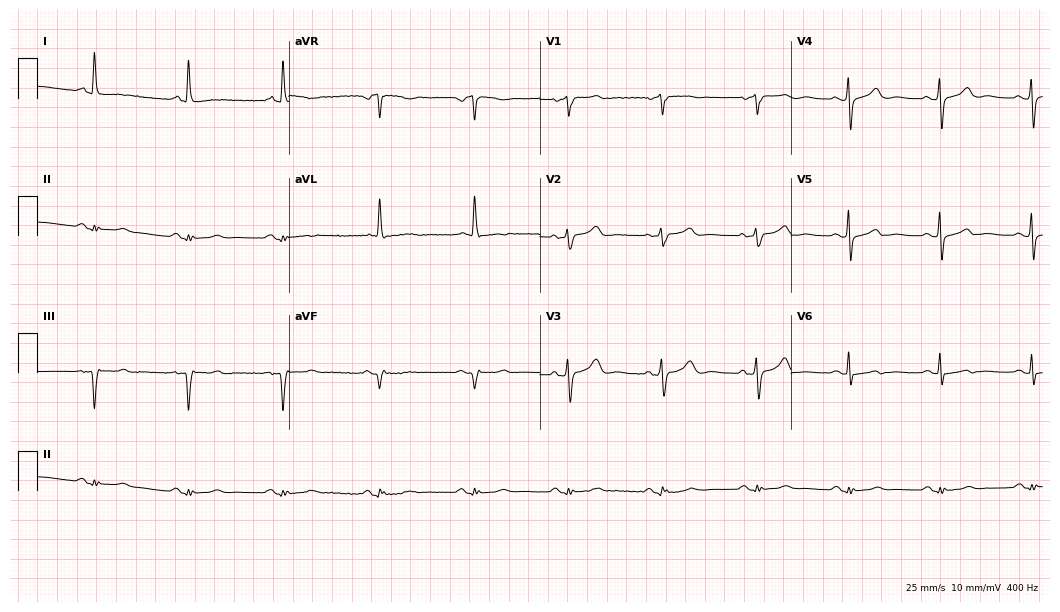
12-lead ECG from a man, 85 years old (10.2-second recording at 400 Hz). No first-degree AV block, right bundle branch block (RBBB), left bundle branch block (LBBB), sinus bradycardia, atrial fibrillation (AF) or sinus tachycardia recorded for this tracing. Findings outside these six are not listed.